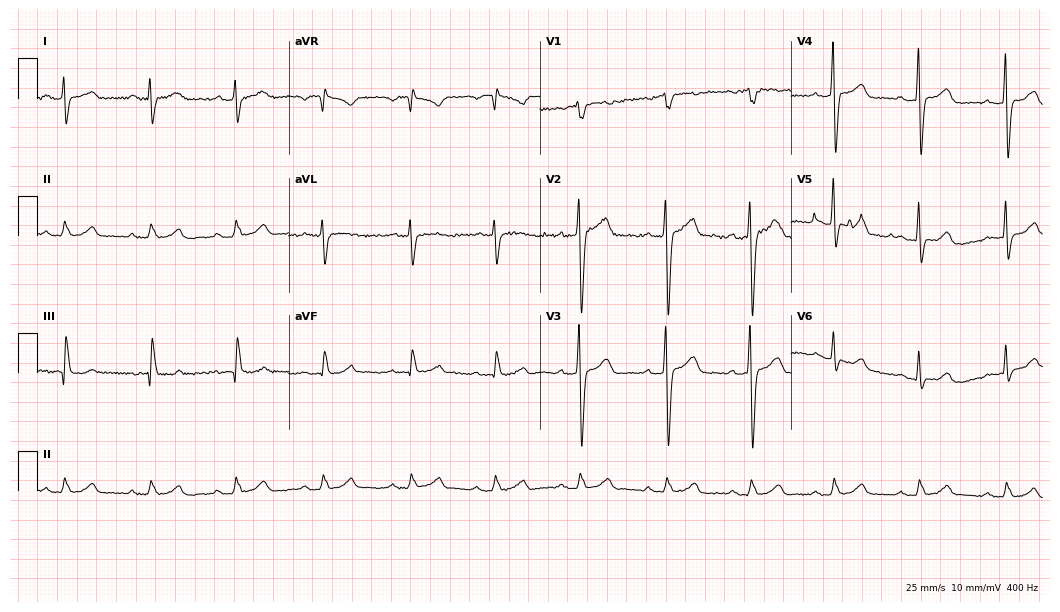
Standard 12-lead ECG recorded from a man, 49 years old (10.2-second recording at 400 Hz). None of these six findings is recorded: first-degree AV block, right bundle branch block, left bundle branch block, sinus bradycardia, atrial fibrillation, sinus tachycardia. Other findings, if any, are not listed.